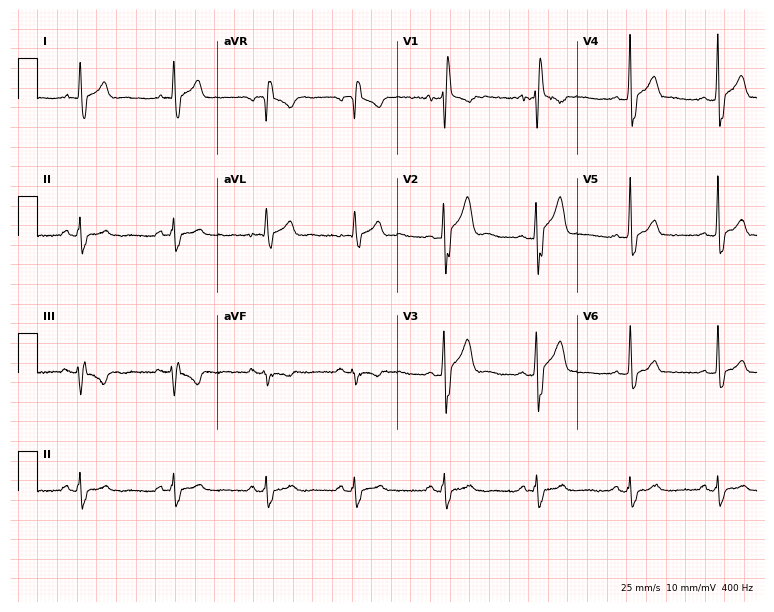
Electrocardiogram, a man, 31 years old. Of the six screened findings (first-degree AV block, right bundle branch block (RBBB), left bundle branch block (LBBB), sinus bradycardia, atrial fibrillation (AF), sinus tachycardia), none is recorded.